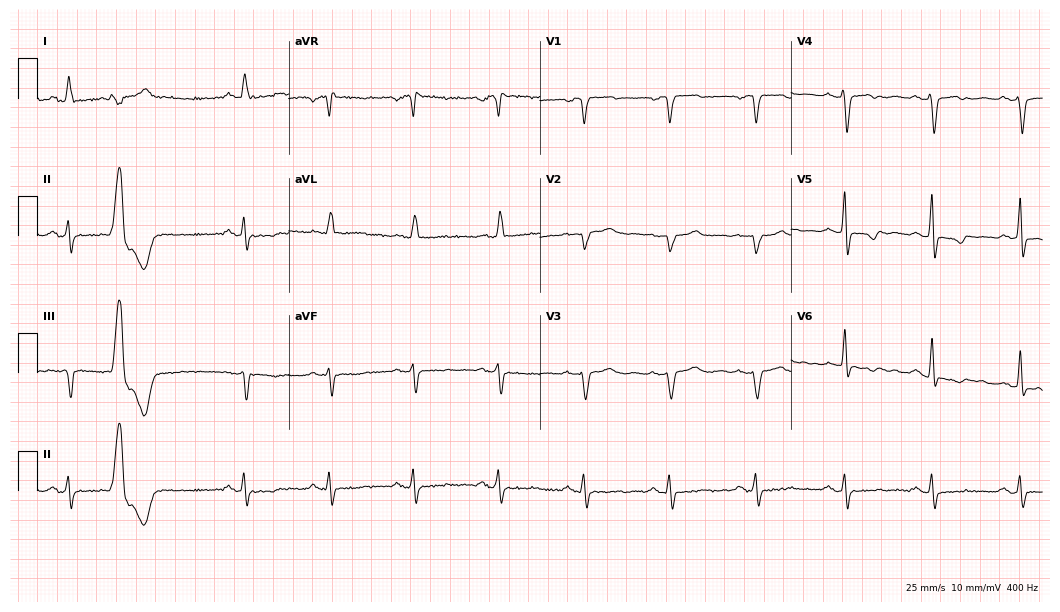
Resting 12-lead electrocardiogram (10.2-second recording at 400 Hz). Patient: a 71-year-old female. None of these six findings is recorded: first-degree AV block, right bundle branch block, left bundle branch block, sinus bradycardia, atrial fibrillation, sinus tachycardia. Other findings, if any, are not listed.